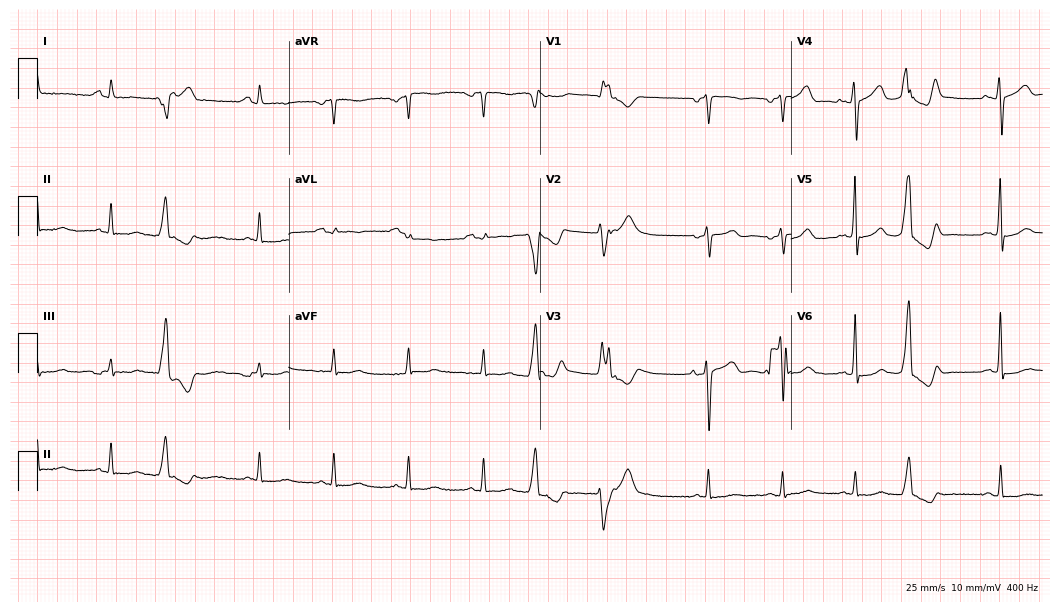
12-lead ECG (10.2-second recording at 400 Hz) from an 80-year-old man. Screened for six findings — first-degree AV block, right bundle branch block, left bundle branch block, sinus bradycardia, atrial fibrillation, sinus tachycardia — none is recorded. Other findings, if any, are not listed.